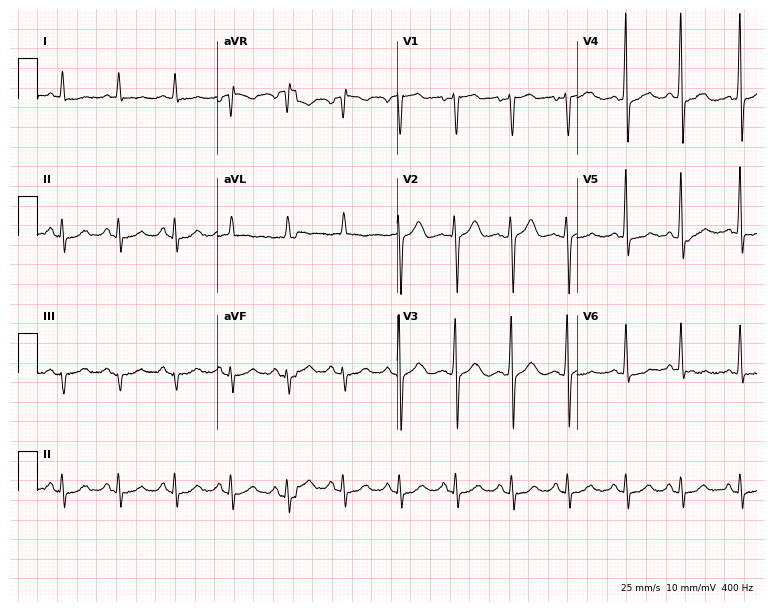
12-lead ECG from a male, 63 years old (7.3-second recording at 400 Hz). Shows sinus tachycardia (a sinus rate of 100 beats per minute or more).